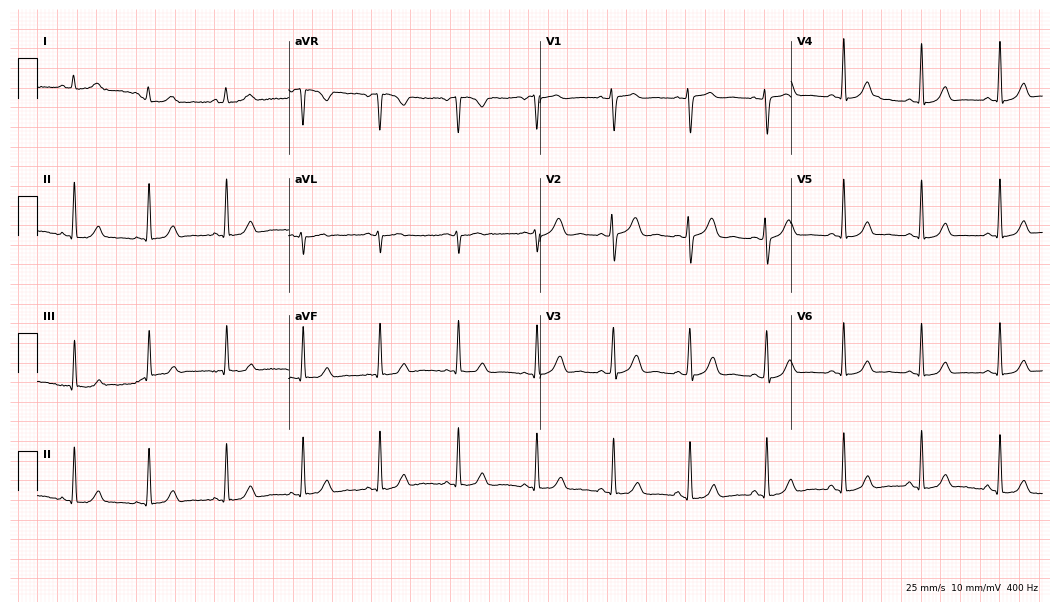
Electrocardiogram, a female, 43 years old. Overall reading on record: normal ECG.